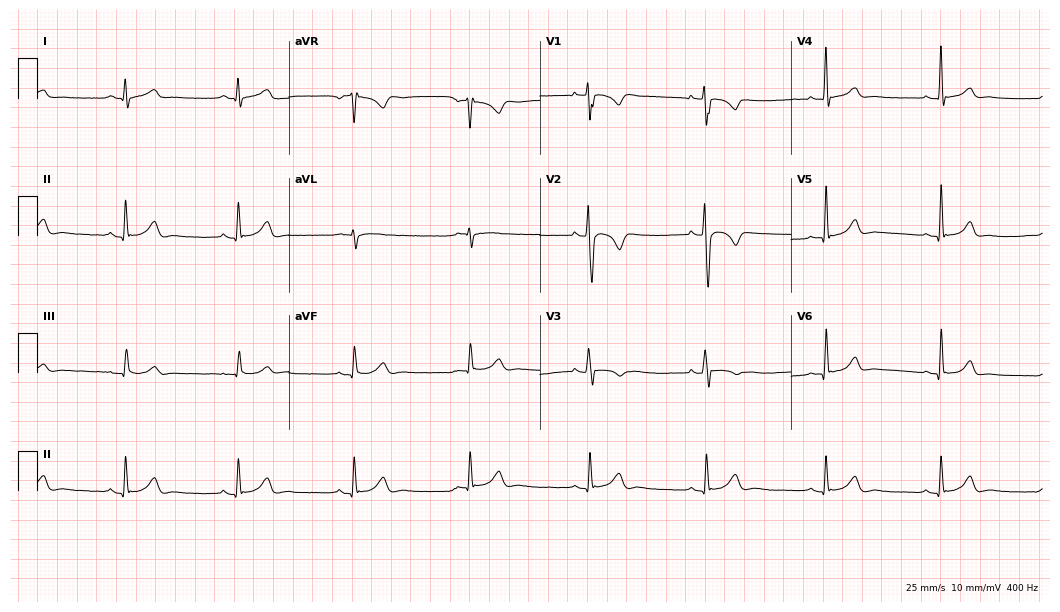
Electrocardiogram, a 24-year-old male patient. Overall reading on record: normal ECG.